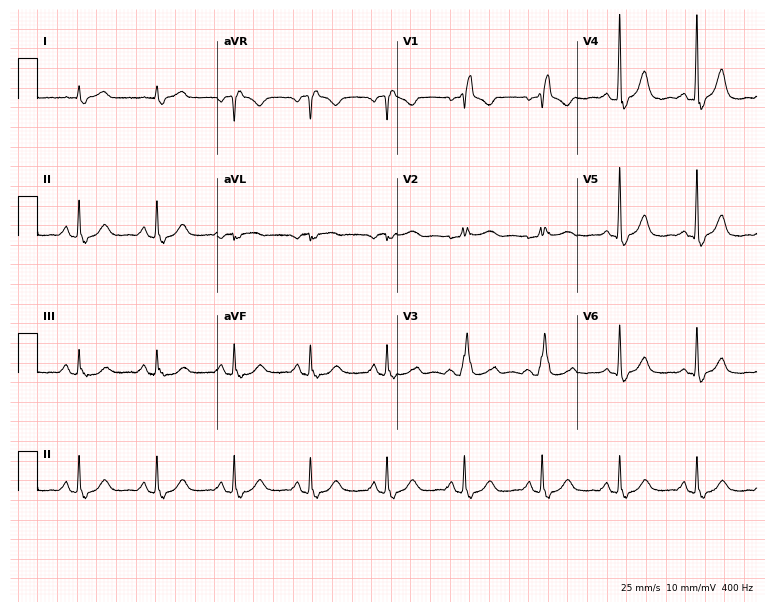
ECG — a male, 73 years old. Findings include right bundle branch block.